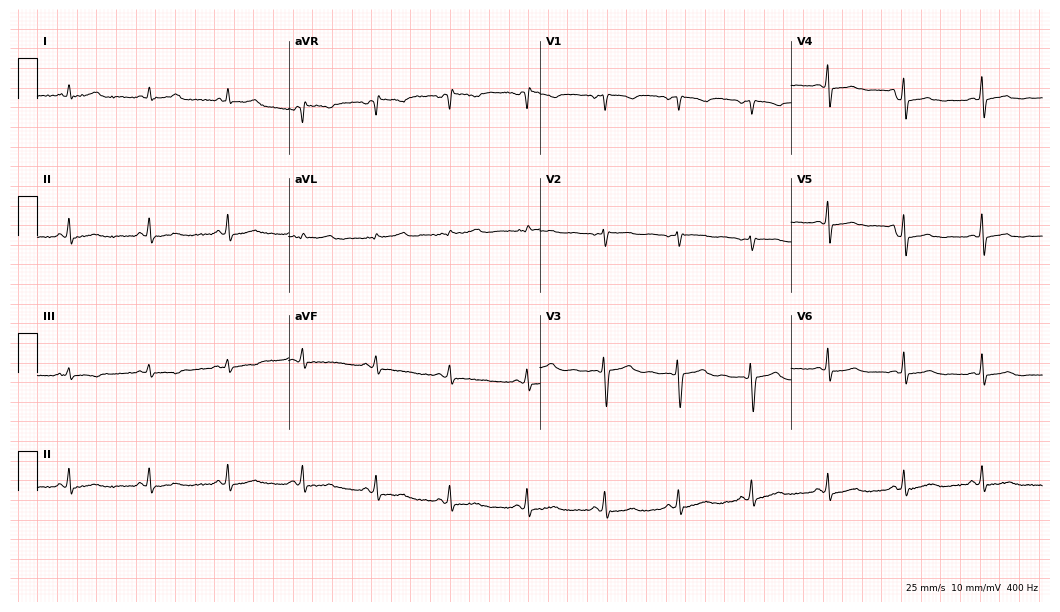
12-lead ECG from a 29-year-old woman (10.2-second recording at 400 Hz). No first-degree AV block, right bundle branch block (RBBB), left bundle branch block (LBBB), sinus bradycardia, atrial fibrillation (AF) or sinus tachycardia recorded for this tracing. Only these six findings were labelled.